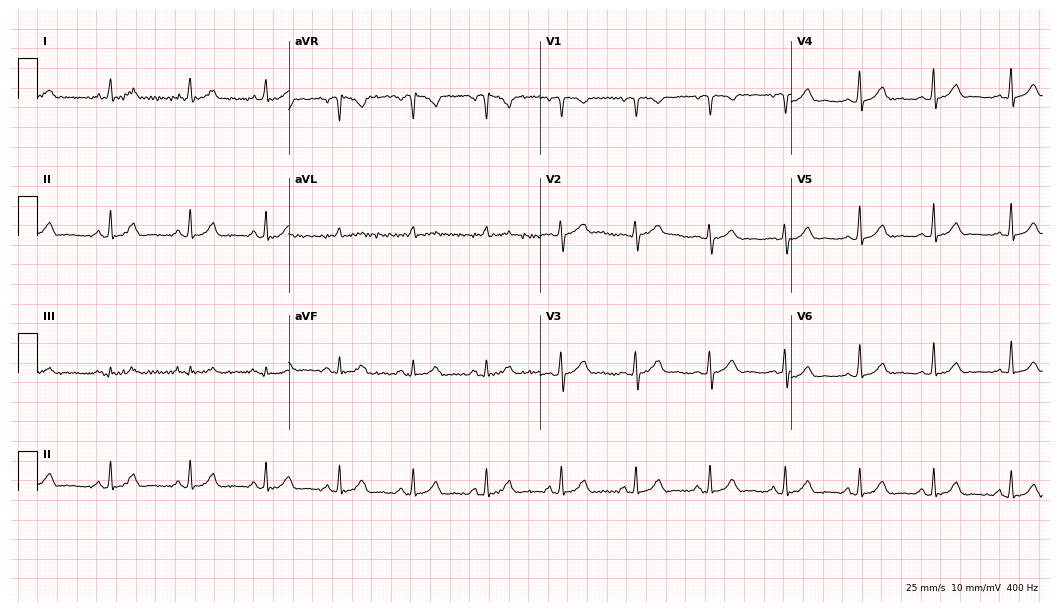
12-lead ECG from a female, 34 years old. Labelled as a normal ECG.